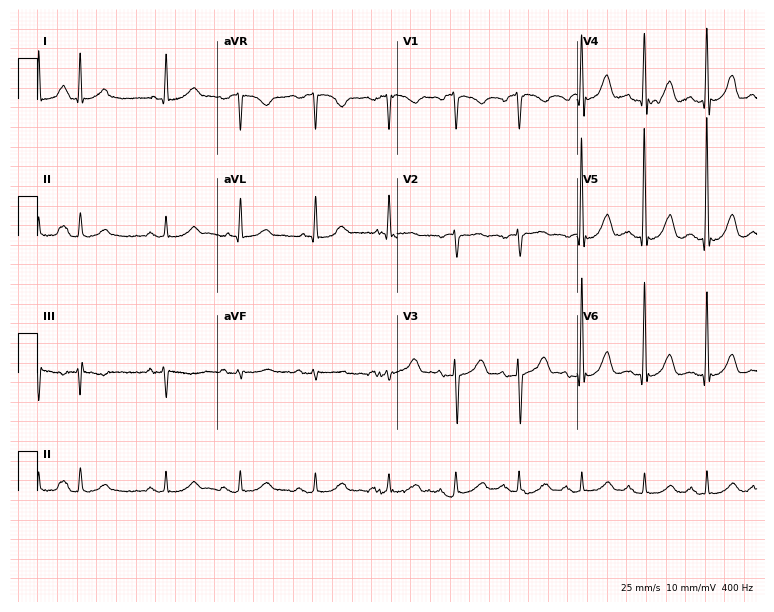
Electrocardiogram (7.3-second recording at 400 Hz), a male, 73 years old. Of the six screened findings (first-degree AV block, right bundle branch block, left bundle branch block, sinus bradycardia, atrial fibrillation, sinus tachycardia), none is recorded. Other findings, if any, are not listed.